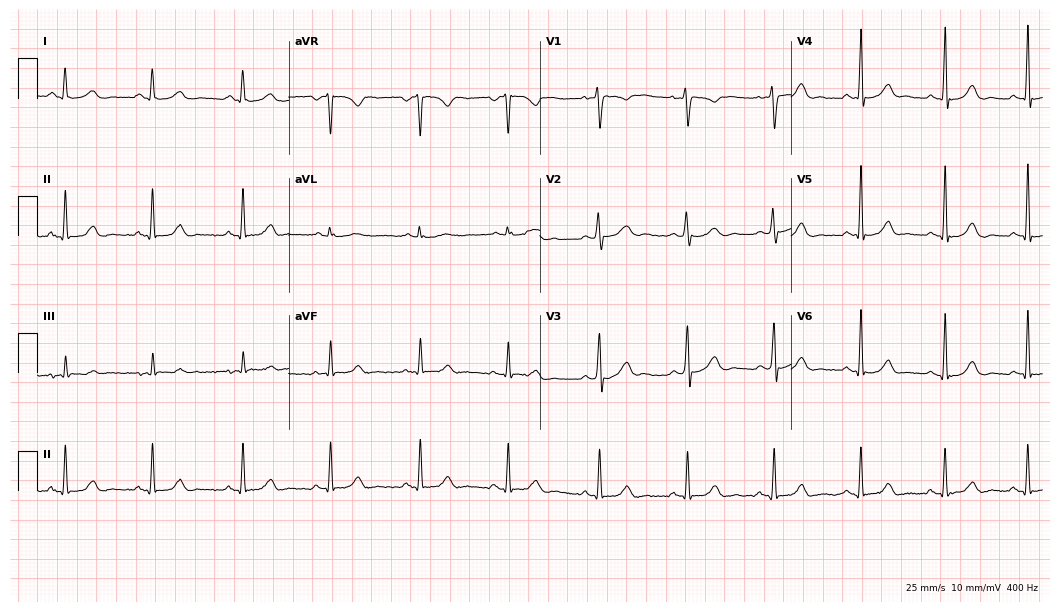
Electrocardiogram (10.2-second recording at 400 Hz), a 34-year-old female patient. Of the six screened findings (first-degree AV block, right bundle branch block (RBBB), left bundle branch block (LBBB), sinus bradycardia, atrial fibrillation (AF), sinus tachycardia), none is recorded. Only these six findings were labelled.